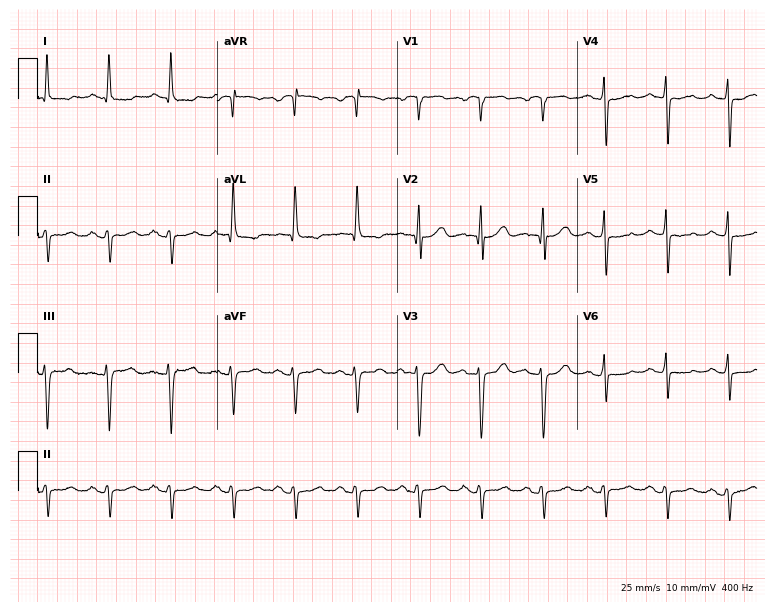
Standard 12-lead ECG recorded from an 82-year-old woman (7.3-second recording at 400 Hz). None of these six findings is recorded: first-degree AV block, right bundle branch block (RBBB), left bundle branch block (LBBB), sinus bradycardia, atrial fibrillation (AF), sinus tachycardia. Findings outside these six are not listed.